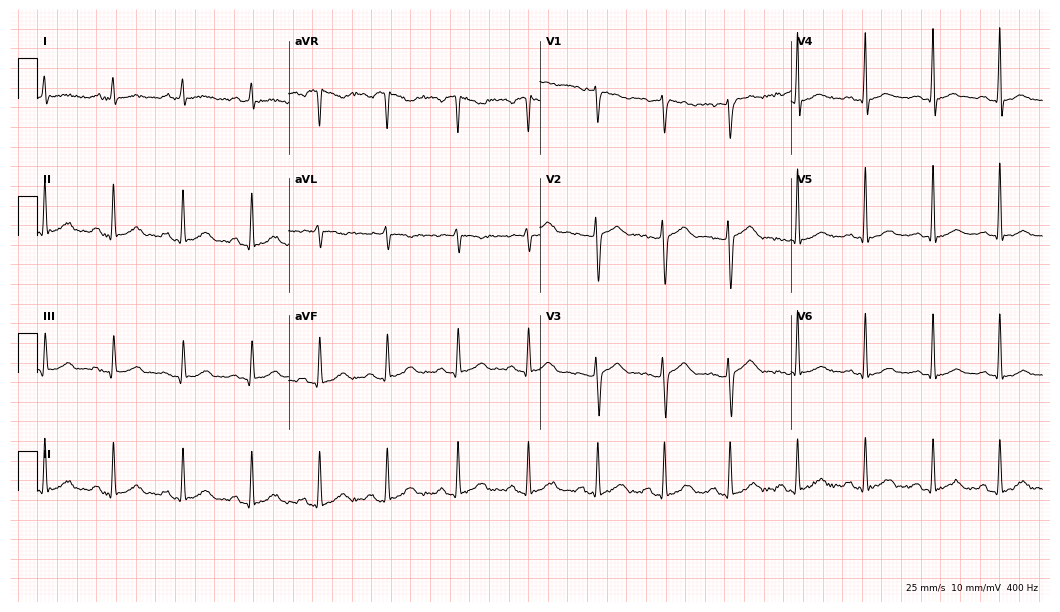
12-lead ECG from a 44-year-old man (10.2-second recording at 400 Hz). Recorded interpretation: within normal limits.